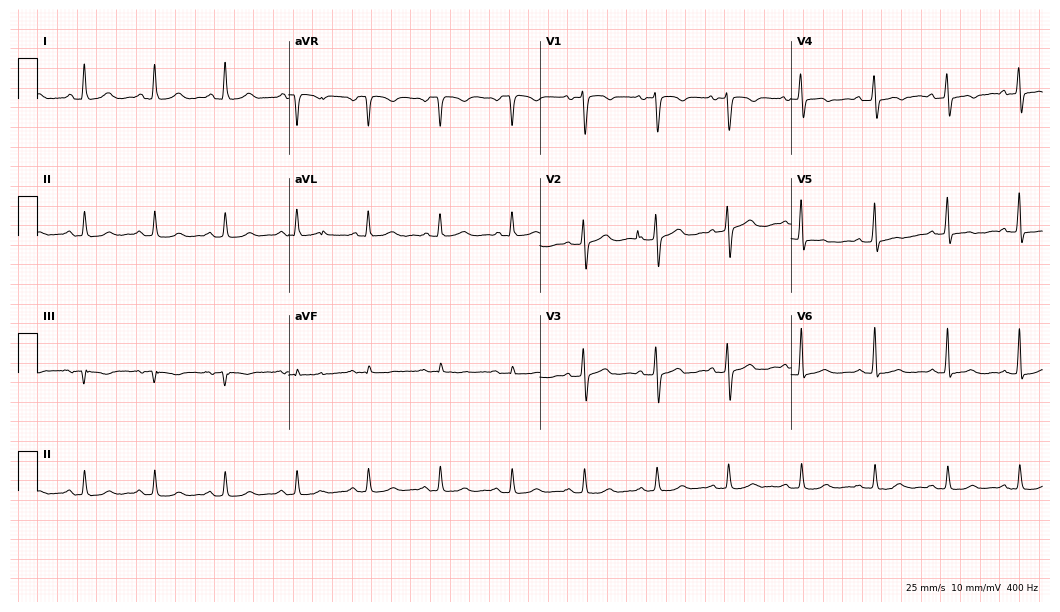
12-lead ECG from a 60-year-old woman. No first-degree AV block, right bundle branch block (RBBB), left bundle branch block (LBBB), sinus bradycardia, atrial fibrillation (AF) or sinus tachycardia recorded for this tracing. Other findings, if any, are not listed.